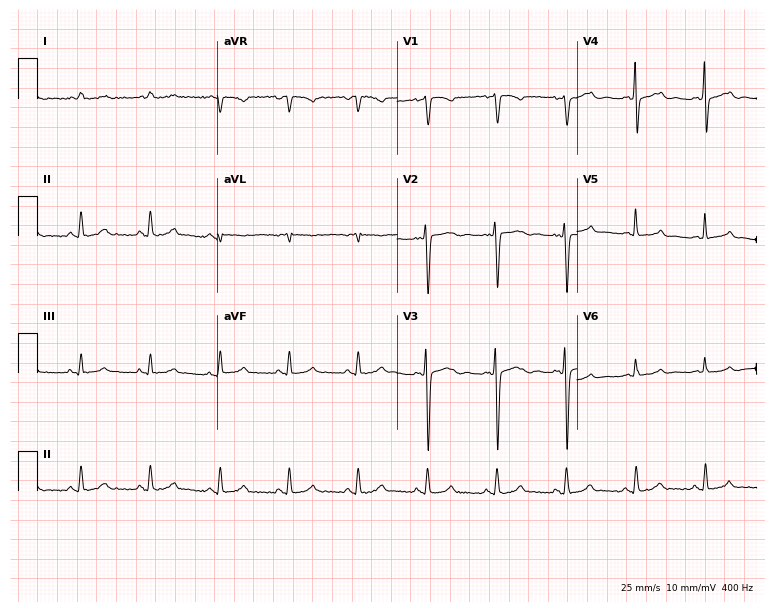
12-lead ECG from a 54-year-old female (7.3-second recording at 400 Hz). No first-degree AV block, right bundle branch block (RBBB), left bundle branch block (LBBB), sinus bradycardia, atrial fibrillation (AF) or sinus tachycardia recorded for this tracing. Other findings, if any, are not listed.